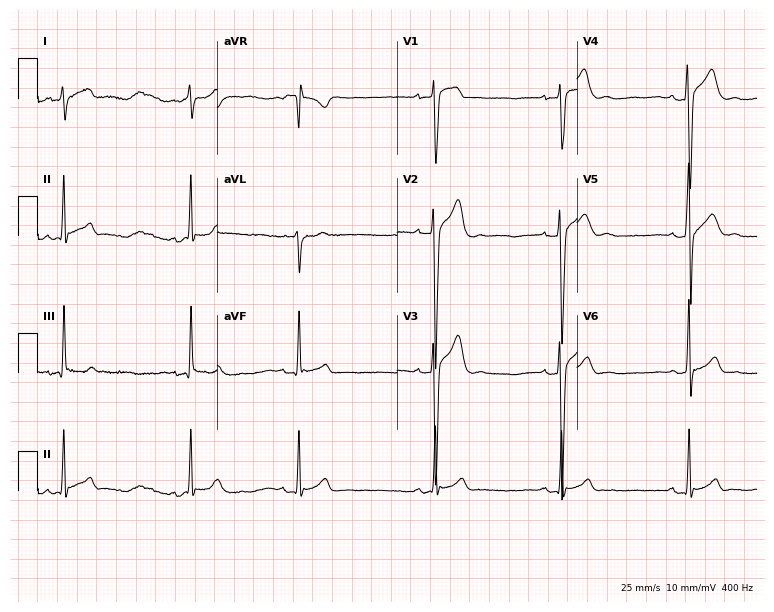
12-lead ECG from a 17-year-old male patient. No first-degree AV block, right bundle branch block, left bundle branch block, sinus bradycardia, atrial fibrillation or sinus tachycardia recorded for this tracing.